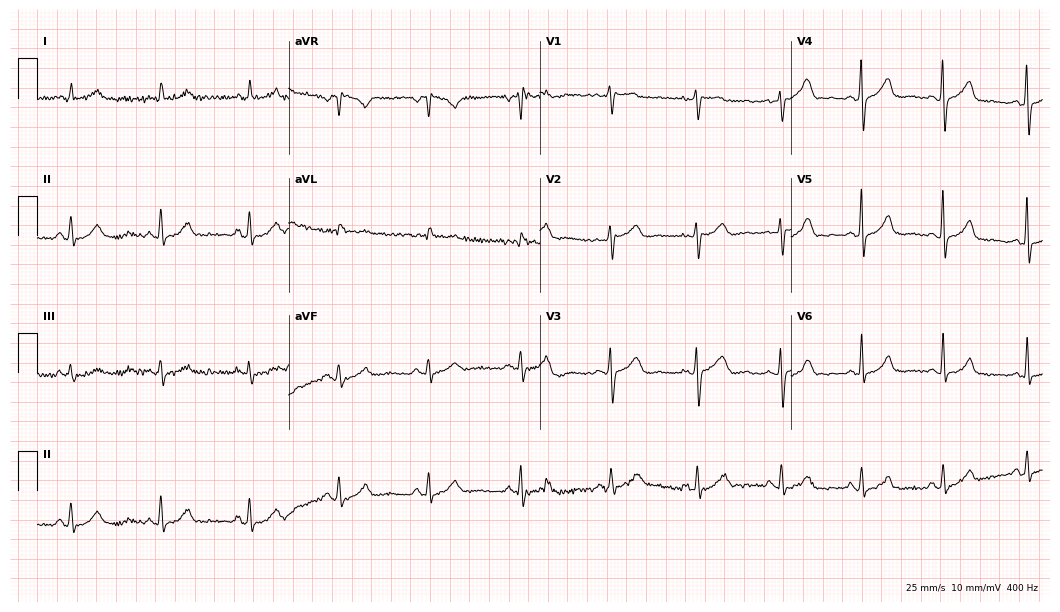
12-lead ECG from a man, 30 years old. No first-degree AV block, right bundle branch block, left bundle branch block, sinus bradycardia, atrial fibrillation or sinus tachycardia recorded for this tracing.